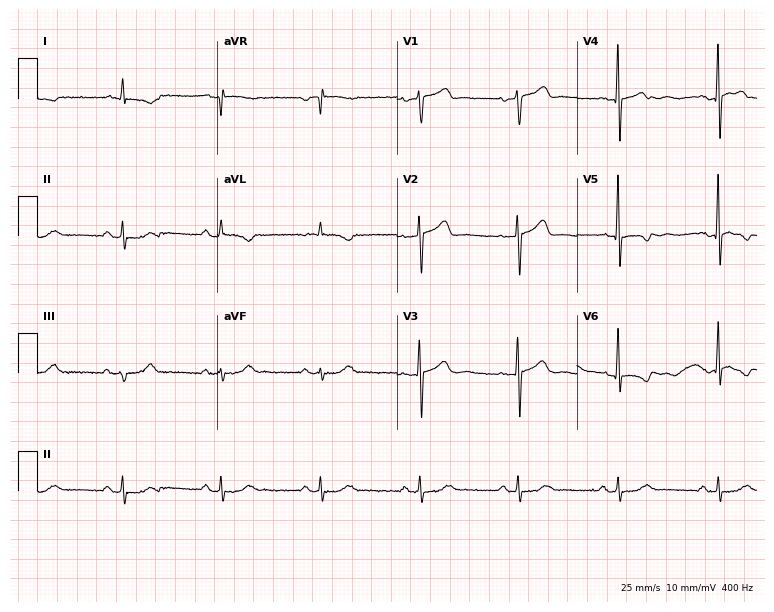
Electrocardiogram (7.3-second recording at 400 Hz), an 85-year-old man. Of the six screened findings (first-degree AV block, right bundle branch block (RBBB), left bundle branch block (LBBB), sinus bradycardia, atrial fibrillation (AF), sinus tachycardia), none is recorded.